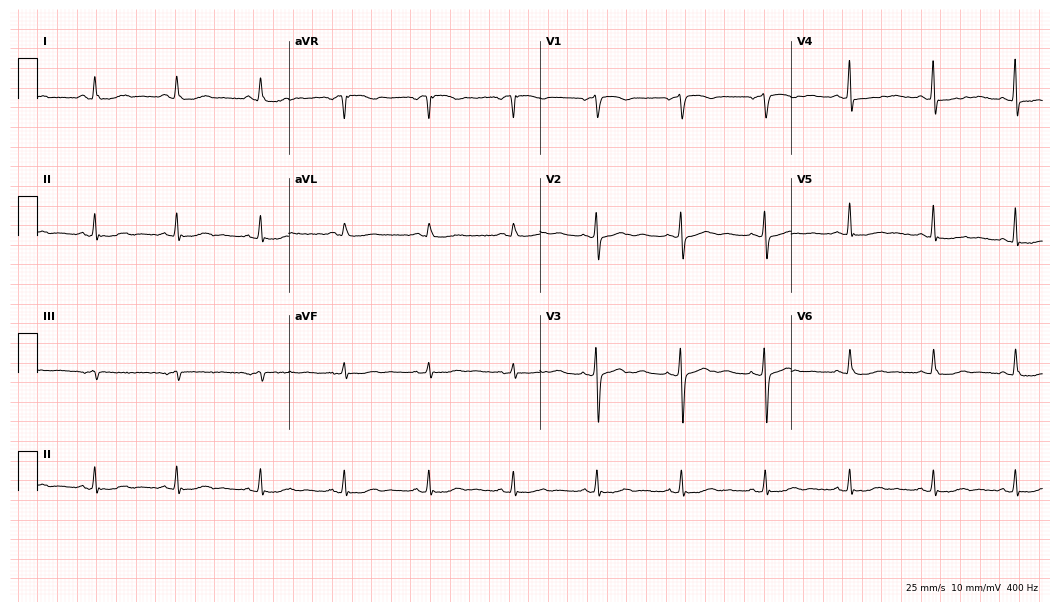
Standard 12-lead ECG recorded from a female, 63 years old. None of these six findings is recorded: first-degree AV block, right bundle branch block, left bundle branch block, sinus bradycardia, atrial fibrillation, sinus tachycardia.